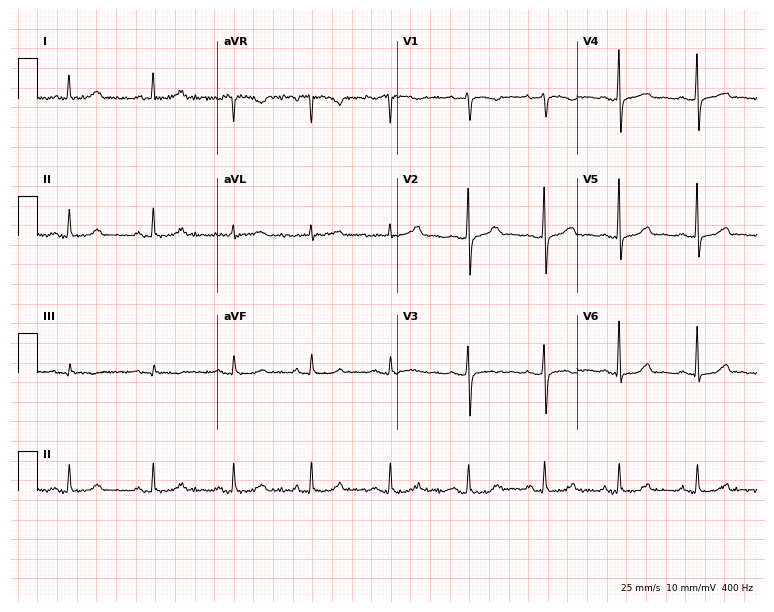
Resting 12-lead electrocardiogram (7.3-second recording at 400 Hz). Patient: a 51-year-old female. Read as a normal ECG.